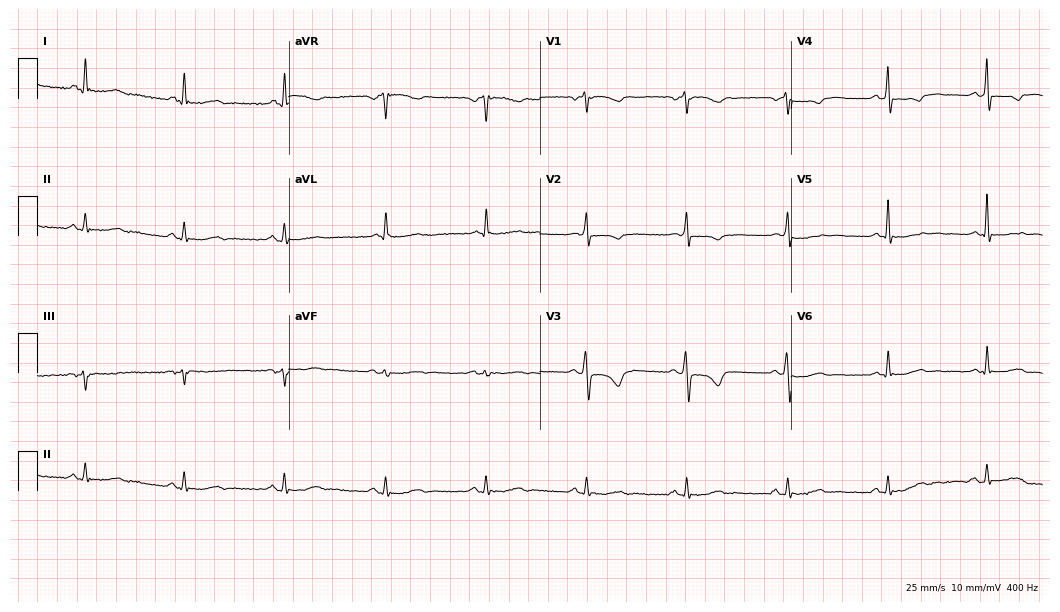
12-lead ECG from a 63-year-old female patient. No first-degree AV block, right bundle branch block, left bundle branch block, sinus bradycardia, atrial fibrillation or sinus tachycardia recorded for this tracing.